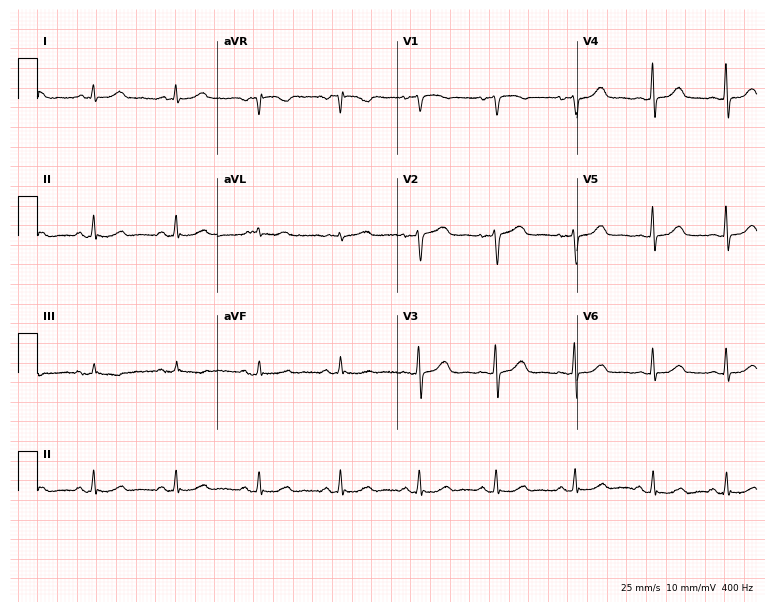
Resting 12-lead electrocardiogram. Patient: a 49-year-old female. None of these six findings is recorded: first-degree AV block, right bundle branch block (RBBB), left bundle branch block (LBBB), sinus bradycardia, atrial fibrillation (AF), sinus tachycardia. Findings outside these six are not listed.